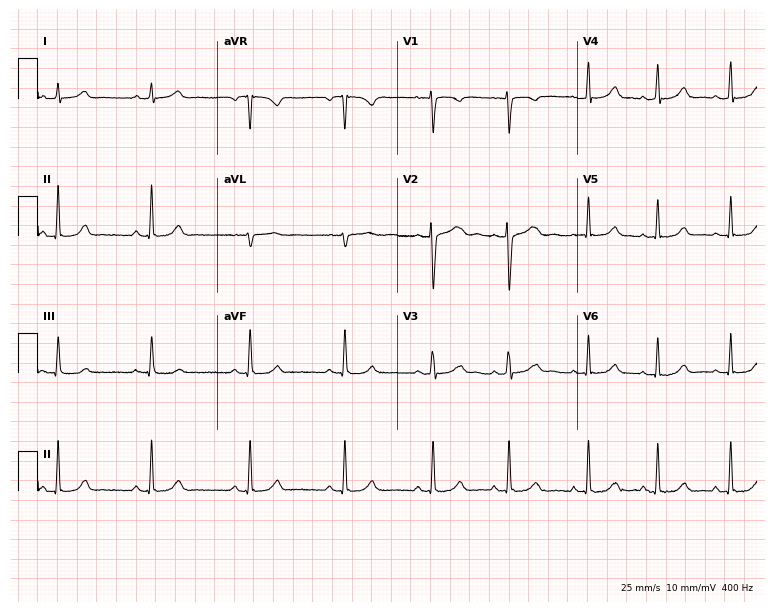
Standard 12-lead ECG recorded from a female, 18 years old (7.3-second recording at 400 Hz). None of these six findings is recorded: first-degree AV block, right bundle branch block (RBBB), left bundle branch block (LBBB), sinus bradycardia, atrial fibrillation (AF), sinus tachycardia. Findings outside these six are not listed.